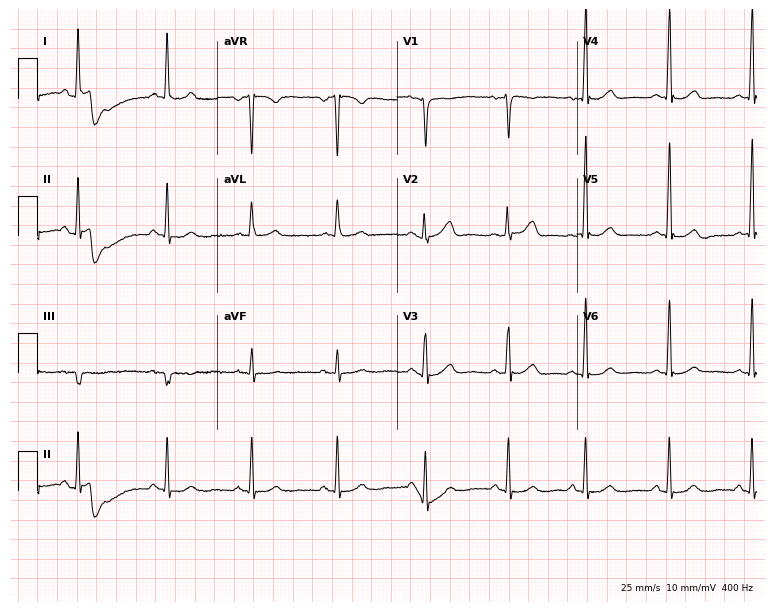
Standard 12-lead ECG recorded from a 56-year-old woman. None of these six findings is recorded: first-degree AV block, right bundle branch block, left bundle branch block, sinus bradycardia, atrial fibrillation, sinus tachycardia. Other findings, if any, are not listed.